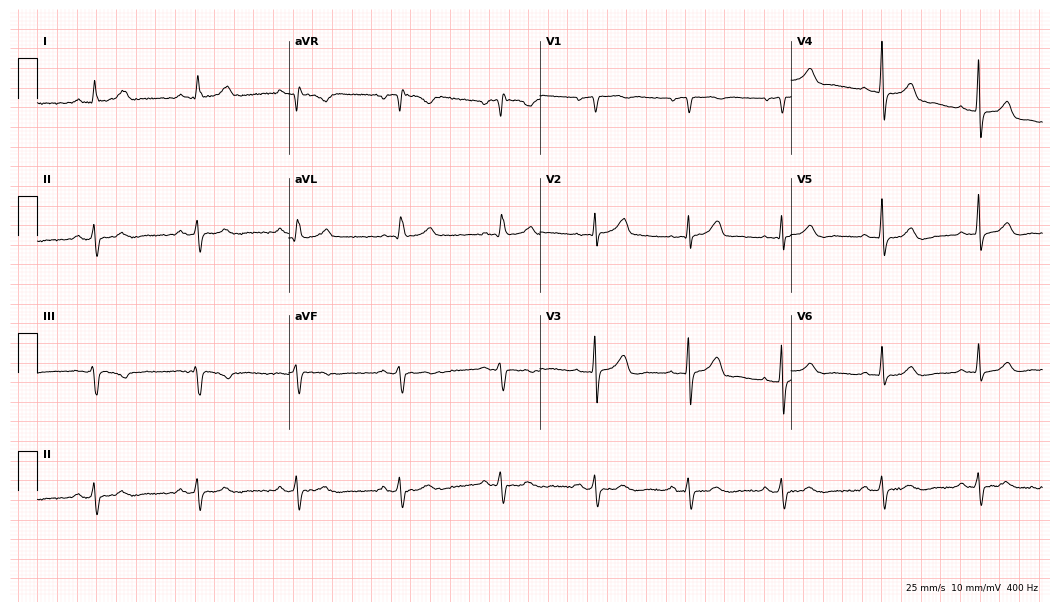
12-lead ECG from a 71-year-old male. No first-degree AV block, right bundle branch block (RBBB), left bundle branch block (LBBB), sinus bradycardia, atrial fibrillation (AF) or sinus tachycardia recorded for this tracing. Only these six findings were labelled.